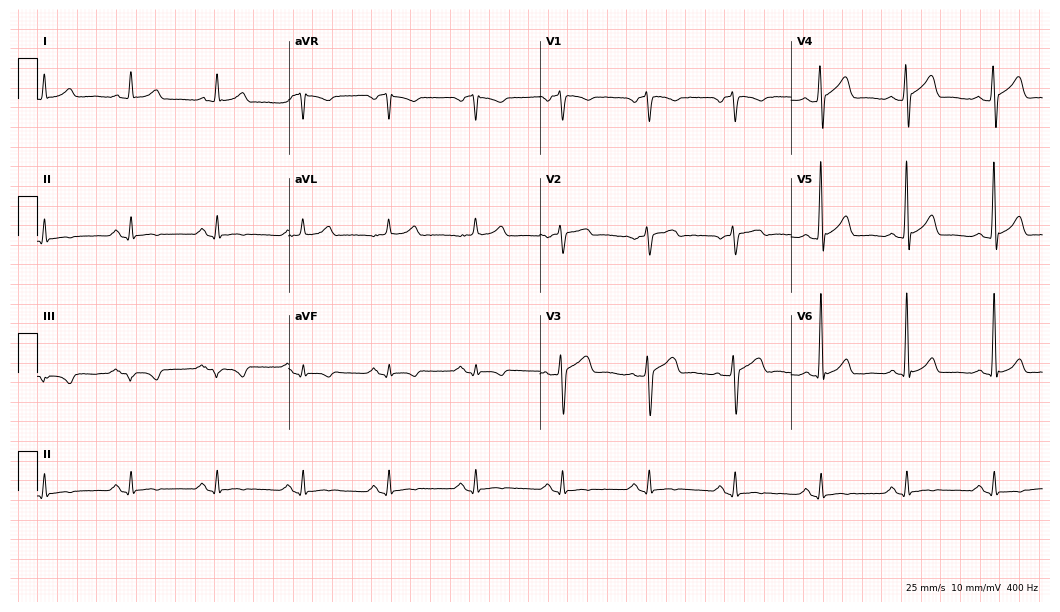
Resting 12-lead electrocardiogram (10.2-second recording at 400 Hz). Patient: a man, 54 years old. None of these six findings is recorded: first-degree AV block, right bundle branch block, left bundle branch block, sinus bradycardia, atrial fibrillation, sinus tachycardia.